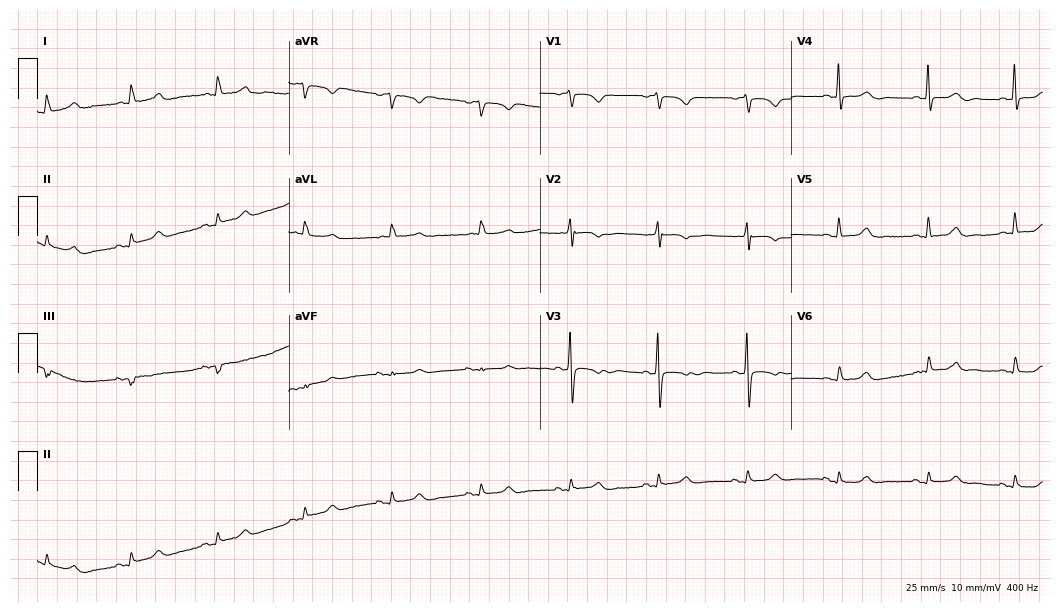
12-lead ECG from a 79-year-old female patient (10.2-second recording at 400 Hz). No first-degree AV block, right bundle branch block (RBBB), left bundle branch block (LBBB), sinus bradycardia, atrial fibrillation (AF) or sinus tachycardia recorded for this tracing.